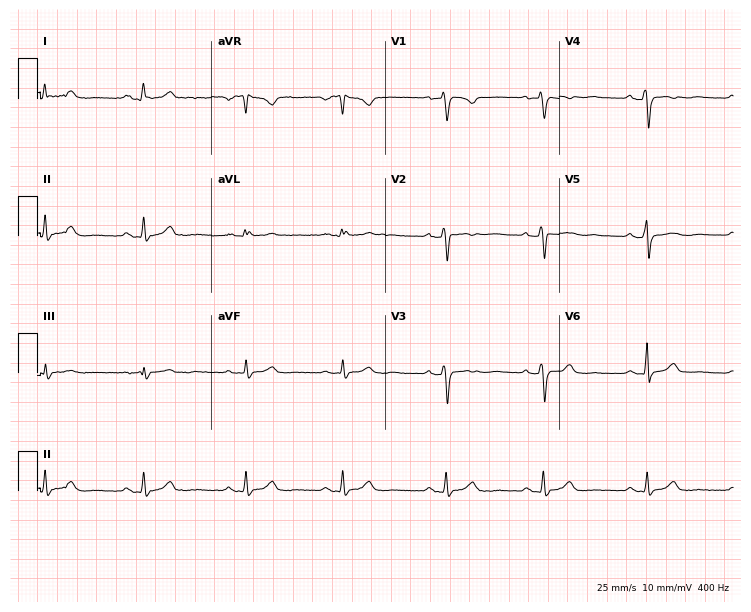
12-lead ECG from a woman, 35 years old. Screened for six findings — first-degree AV block, right bundle branch block, left bundle branch block, sinus bradycardia, atrial fibrillation, sinus tachycardia — none is recorded.